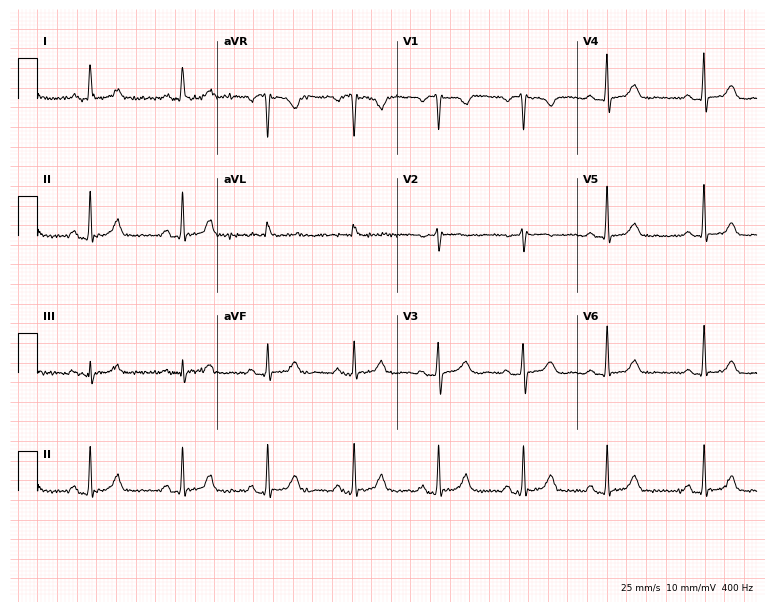
ECG — a woman, 66 years old. Labelled as a normal ECG.